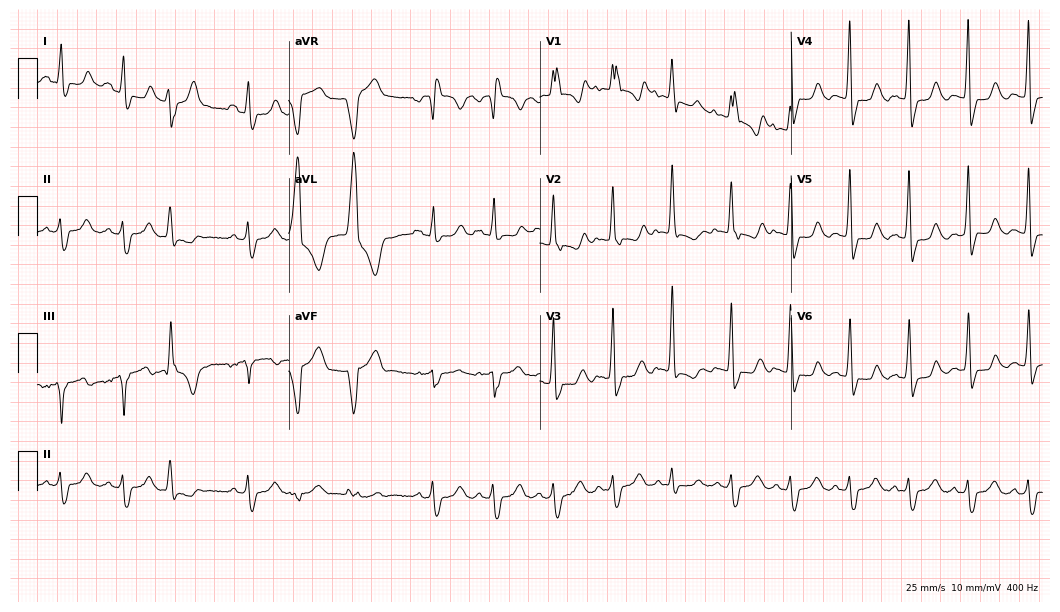
Resting 12-lead electrocardiogram. Patient: a female, 85 years old. The tracing shows right bundle branch block.